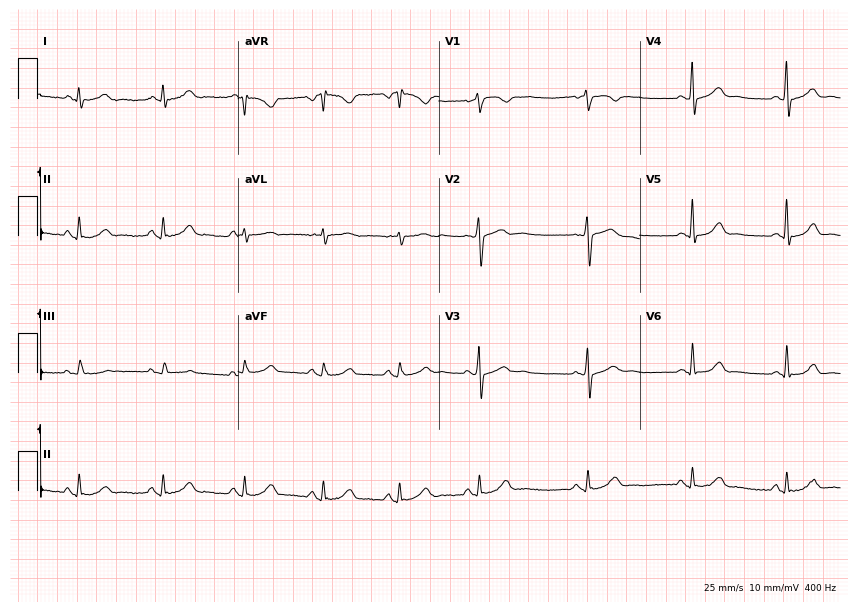
12-lead ECG from a woman, 48 years old. Screened for six findings — first-degree AV block, right bundle branch block (RBBB), left bundle branch block (LBBB), sinus bradycardia, atrial fibrillation (AF), sinus tachycardia — none is recorded. Only these six findings were labelled.